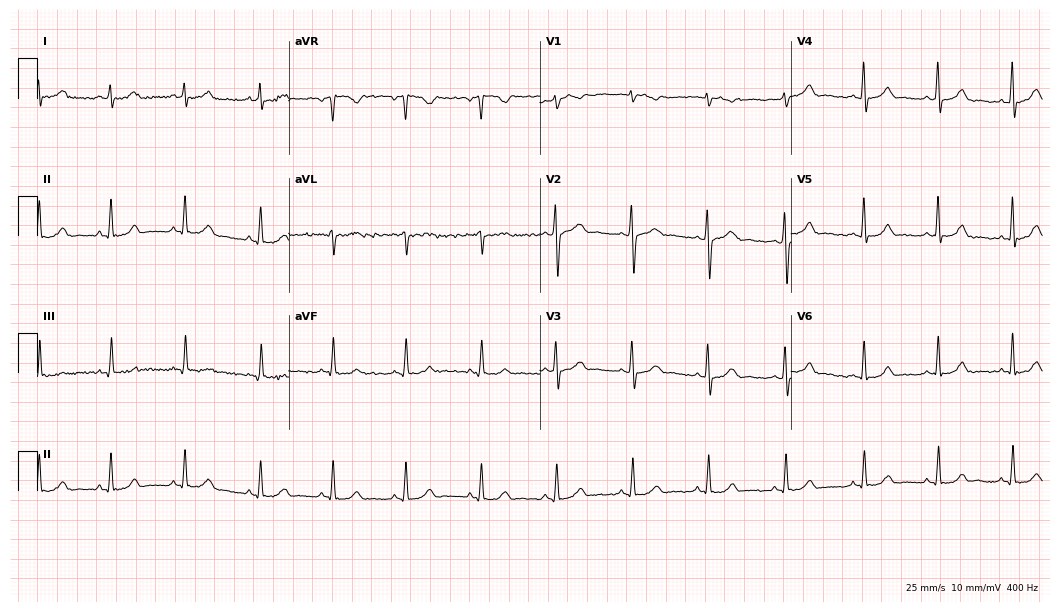
12-lead ECG from a 31-year-old man. No first-degree AV block, right bundle branch block (RBBB), left bundle branch block (LBBB), sinus bradycardia, atrial fibrillation (AF) or sinus tachycardia recorded for this tracing. Findings outside these six are not listed.